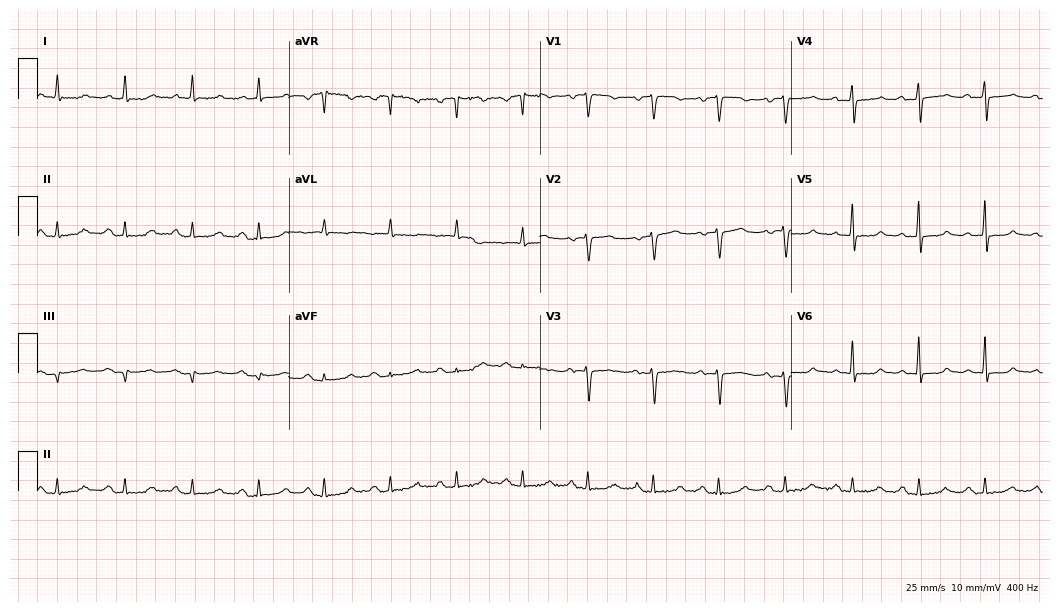
Resting 12-lead electrocardiogram (10.2-second recording at 400 Hz). Patient: a 70-year-old woman. None of these six findings is recorded: first-degree AV block, right bundle branch block, left bundle branch block, sinus bradycardia, atrial fibrillation, sinus tachycardia. Only these six findings were labelled.